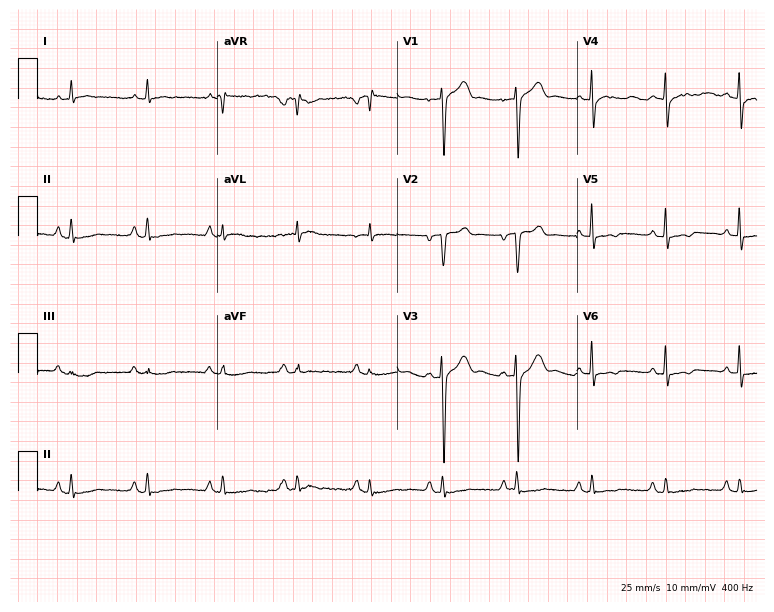
ECG (7.3-second recording at 400 Hz) — an 81-year-old man. Screened for six findings — first-degree AV block, right bundle branch block, left bundle branch block, sinus bradycardia, atrial fibrillation, sinus tachycardia — none is recorded.